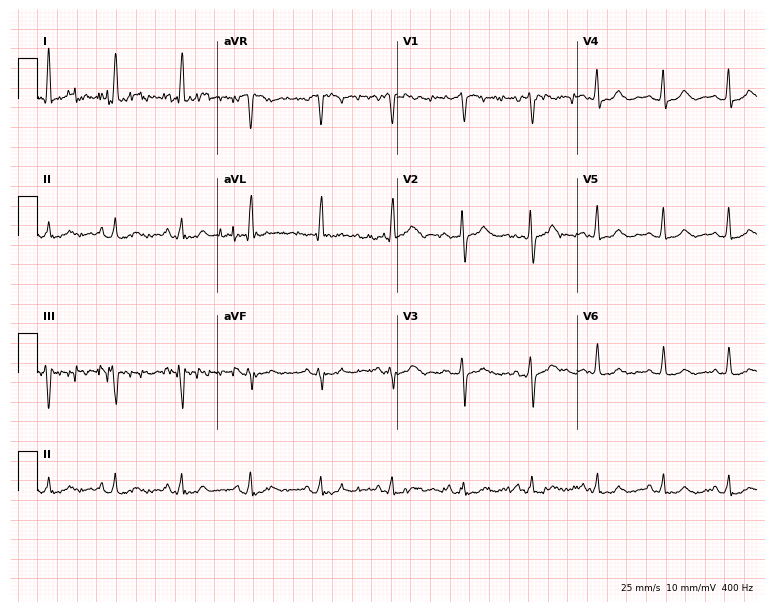
Resting 12-lead electrocardiogram. Patient: a female, 72 years old. Read as a normal ECG.